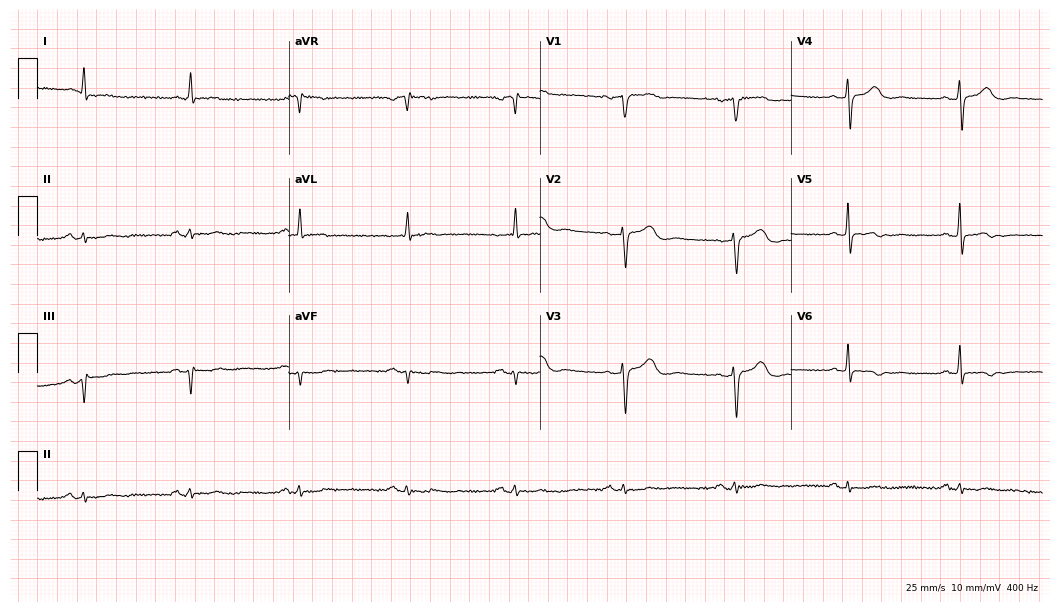
12-lead ECG (10.2-second recording at 400 Hz) from a female patient, 78 years old. Screened for six findings — first-degree AV block, right bundle branch block, left bundle branch block, sinus bradycardia, atrial fibrillation, sinus tachycardia — none is recorded. Other findings, if any, are not listed.